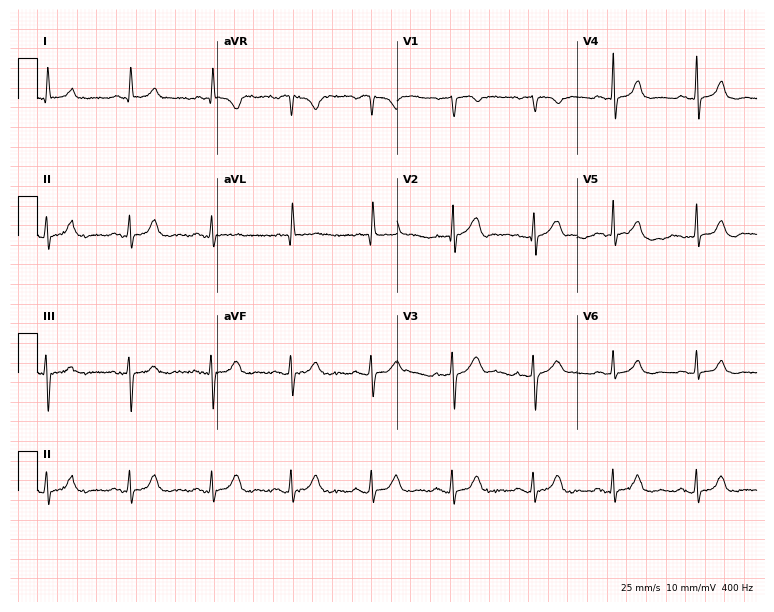
Electrocardiogram (7.3-second recording at 400 Hz), a woman, 70 years old. Overall reading on record: normal ECG.